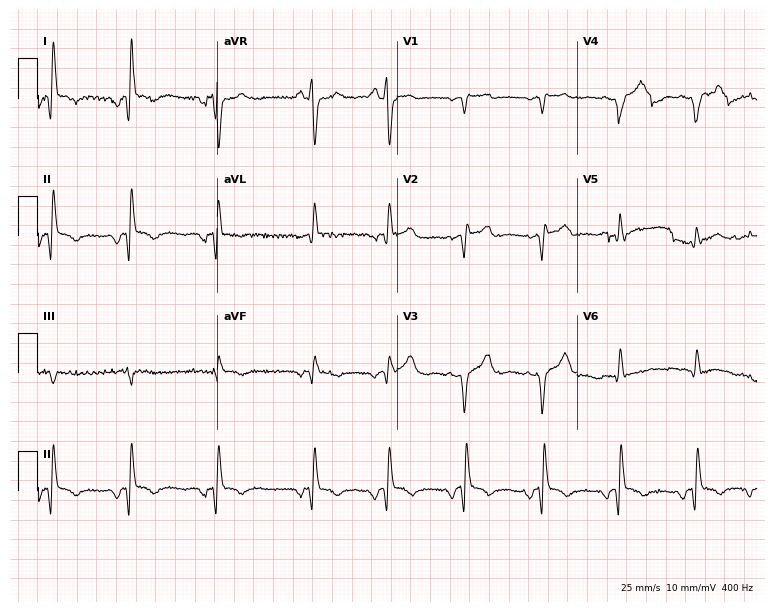
Standard 12-lead ECG recorded from a male, 81 years old (7.3-second recording at 400 Hz). None of these six findings is recorded: first-degree AV block, right bundle branch block, left bundle branch block, sinus bradycardia, atrial fibrillation, sinus tachycardia.